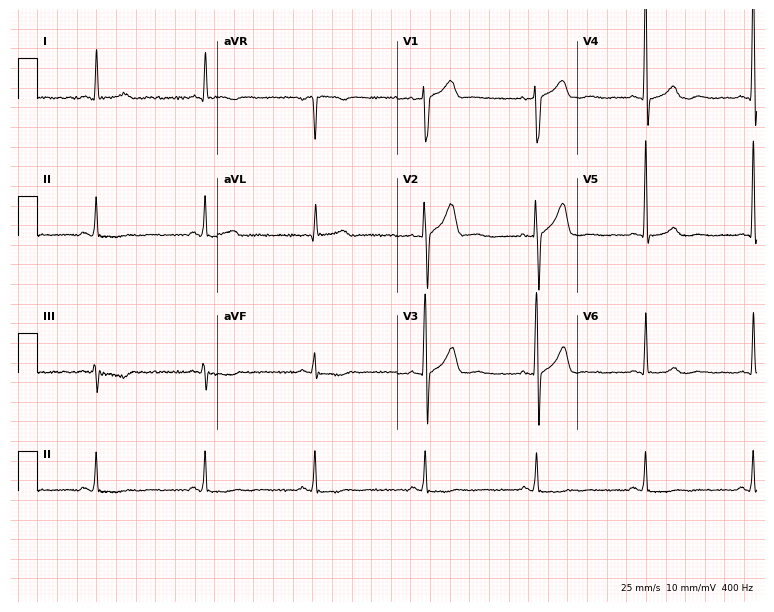
Electrocardiogram, a male patient, 56 years old. Overall reading on record: normal ECG.